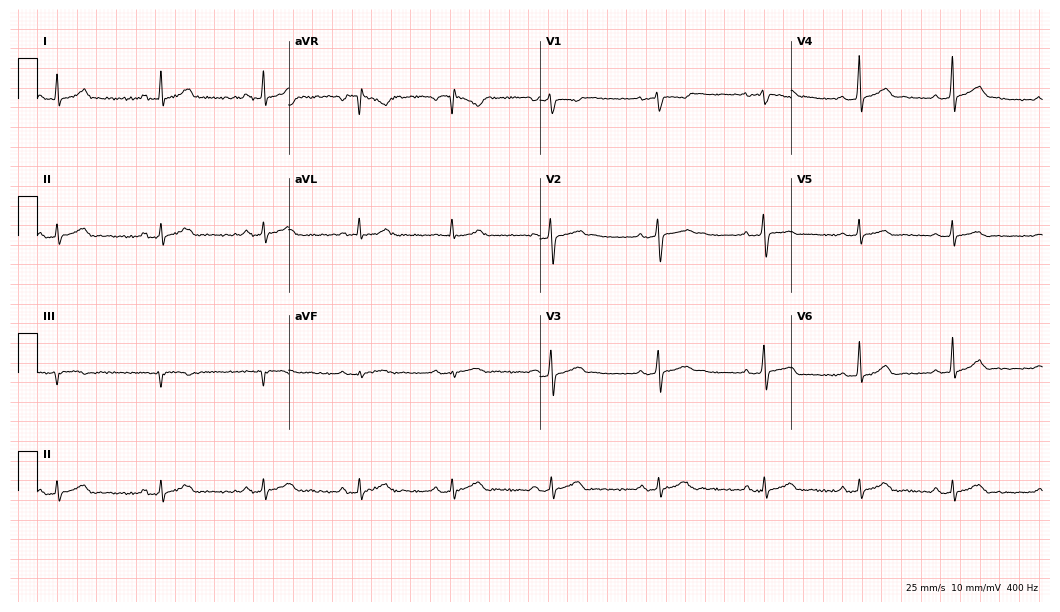
12-lead ECG from a 31-year-old man (10.2-second recording at 400 Hz). Recorded interpretation: within normal limits.